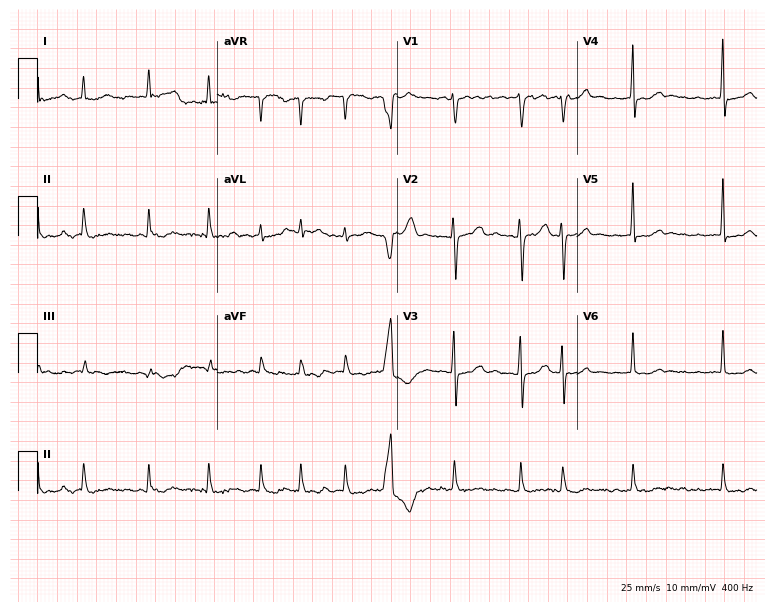
12-lead ECG from an 80-year-old female patient (7.3-second recording at 400 Hz). Shows atrial fibrillation.